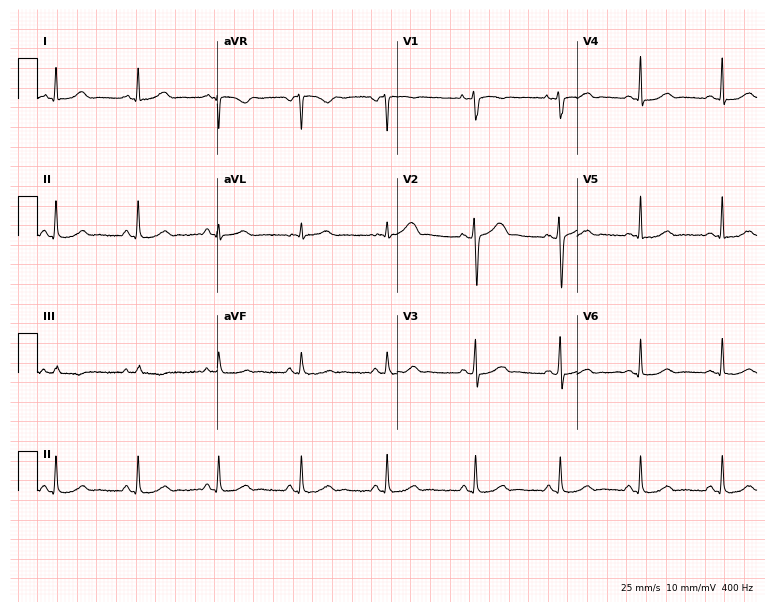
12-lead ECG (7.3-second recording at 400 Hz) from a woman, 27 years old. Screened for six findings — first-degree AV block, right bundle branch block (RBBB), left bundle branch block (LBBB), sinus bradycardia, atrial fibrillation (AF), sinus tachycardia — none is recorded. Other findings, if any, are not listed.